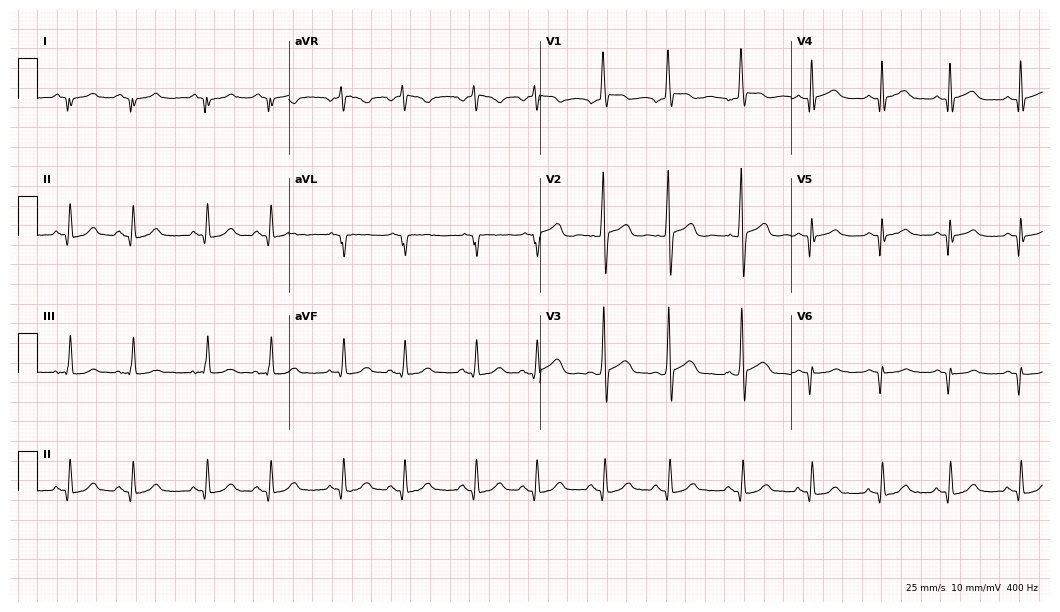
Standard 12-lead ECG recorded from a male, 17 years old (10.2-second recording at 400 Hz). None of these six findings is recorded: first-degree AV block, right bundle branch block, left bundle branch block, sinus bradycardia, atrial fibrillation, sinus tachycardia. Other findings, if any, are not listed.